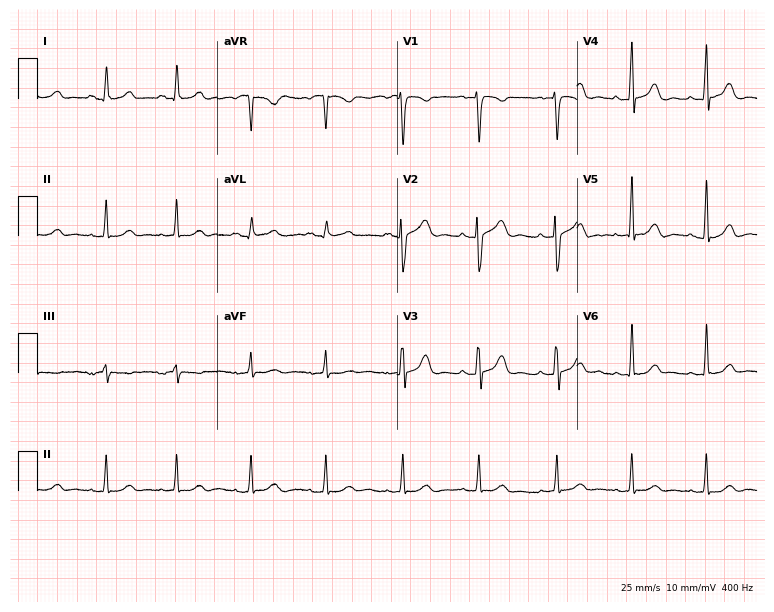
Electrocardiogram (7.3-second recording at 400 Hz), a 35-year-old woman. Of the six screened findings (first-degree AV block, right bundle branch block (RBBB), left bundle branch block (LBBB), sinus bradycardia, atrial fibrillation (AF), sinus tachycardia), none is recorded.